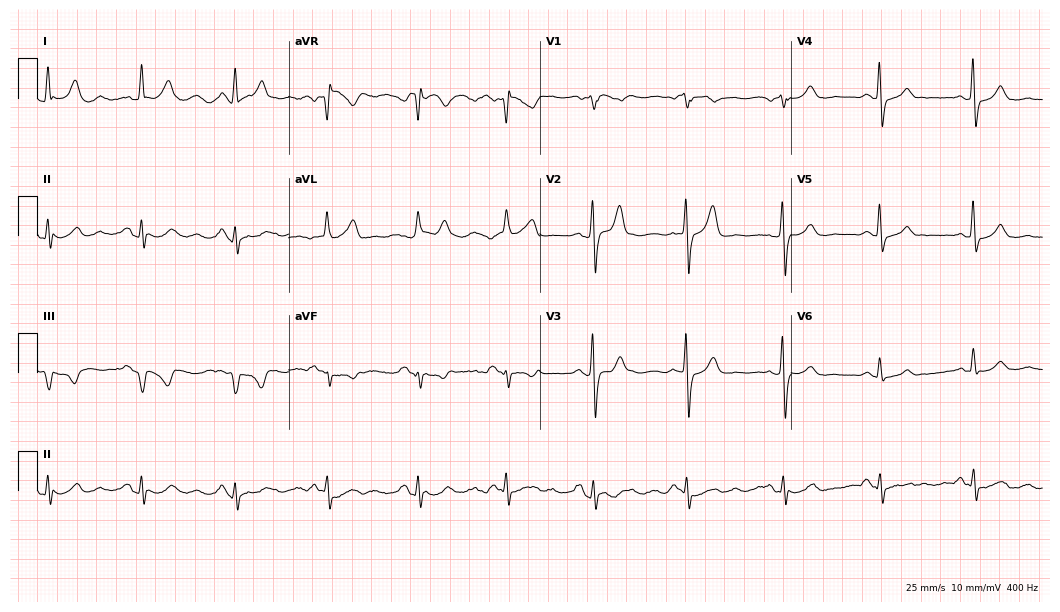
Resting 12-lead electrocardiogram (10.2-second recording at 400 Hz). Patient: a woman, 69 years old. None of these six findings is recorded: first-degree AV block, right bundle branch block, left bundle branch block, sinus bradycardia, atrial fibrillation, sinus tachycardia. Findings outside these six are not listed.